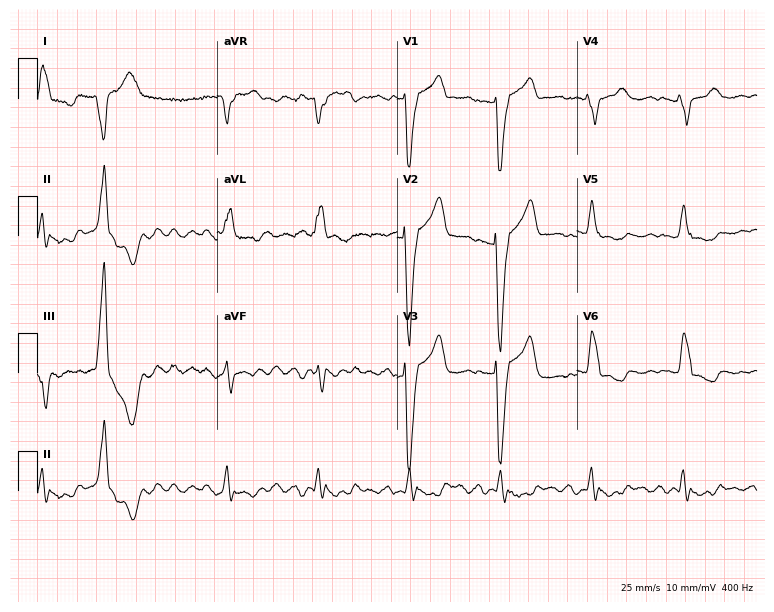
Electrocardiogram (7.3-second recording at 400 Hz), an 81-year-old woman. Of the six screened findings (first-degree AV block, right bundle branch block (RBBB), left bundle branch block (LBBB), sinus bradycardia, atrial fibrillation (AF), sinus tachycardia), none is recorded.